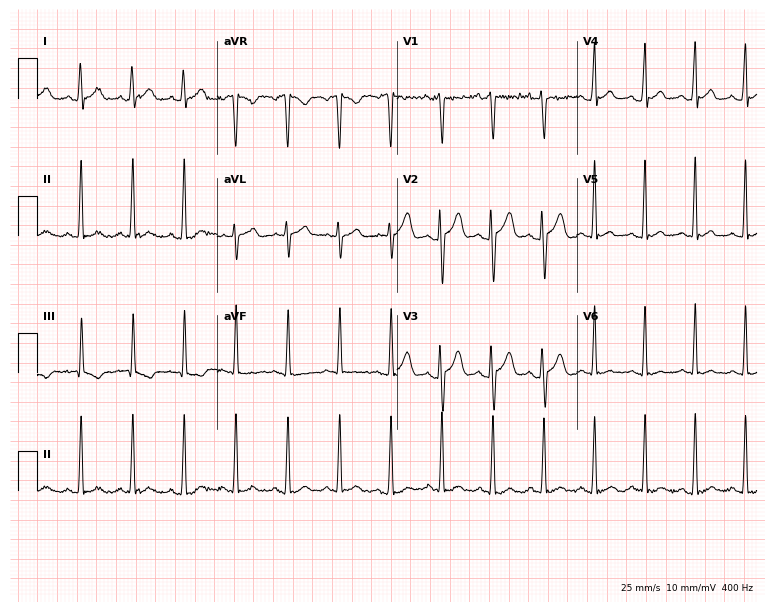
Electrocardiogram, a man, 18 years old. Interpretation includes sinus tachycardia (a sinus rate of 100 beats per minute or more).